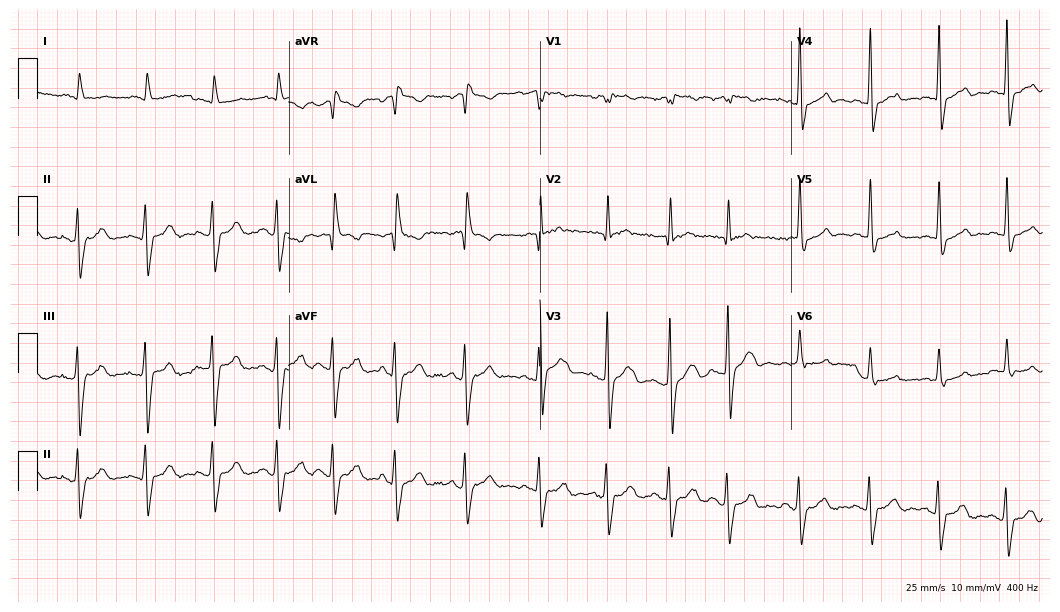
Electrocardiogram, a man, 80 years old. Of the six screened findings (first-degree AV block, right bundle branch block (RBBB), left bundle branch block (LBBB), sinus bradycardia, atrial fibrillation (AF), sinus tachycardia), none is recorded. Findings outside these six are not listed.